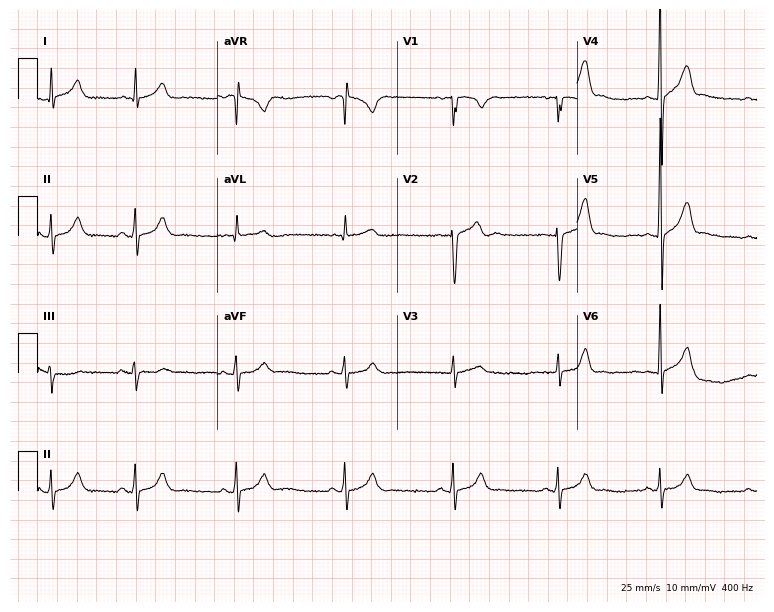
Resting 12-lead electrocardiogram (7.3-second recording at 400 Hz). Patient: a male, 17 years old. None of these six findings is recorded: first-degree AV block, right bundle branch block, left bundle branch block, sinus bradycardia, atrial fibrillation, sinus tachycardia. Findings outside these six are not listed.